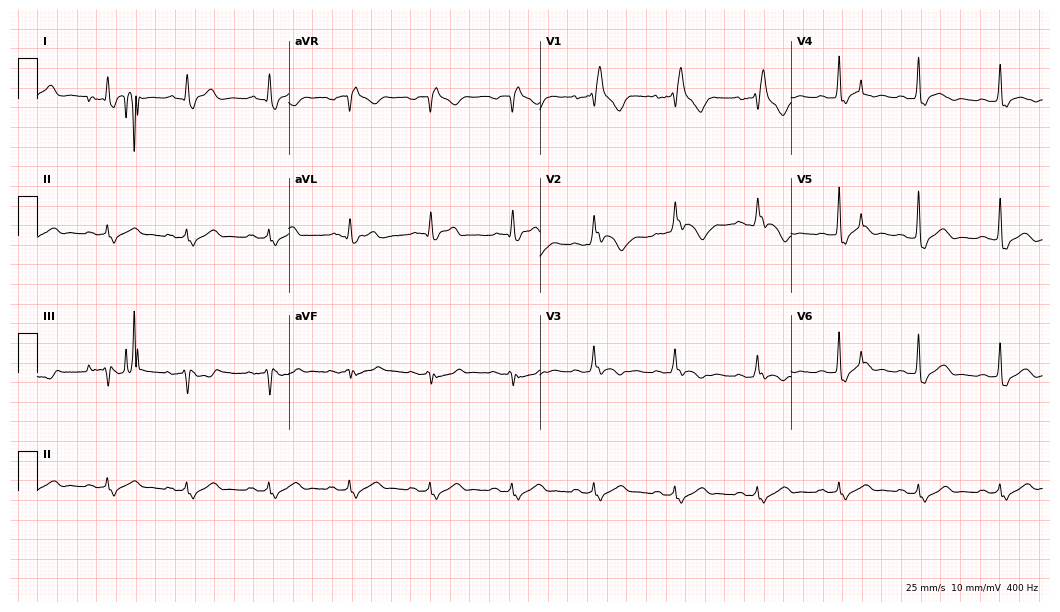
Resting 12-lead electrocardiogram (10.2-second recording at 400 Hz). Patient: a man, 65 years old. The tracing shows right bundle branch block (RBBB).